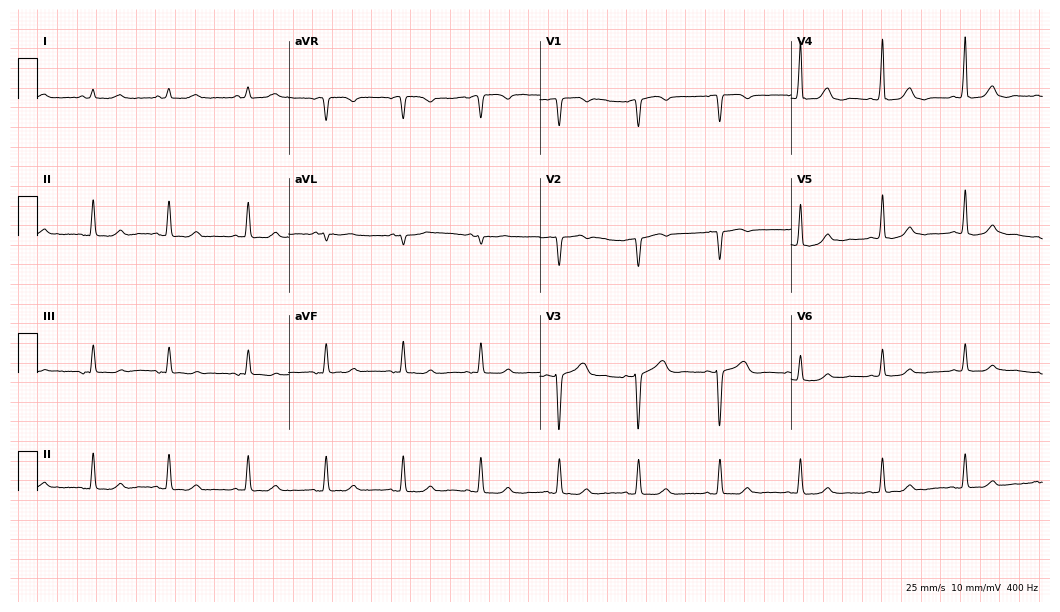
12-lead ECG from a female, 79 years old. Recorded interpretation: within normal limits.